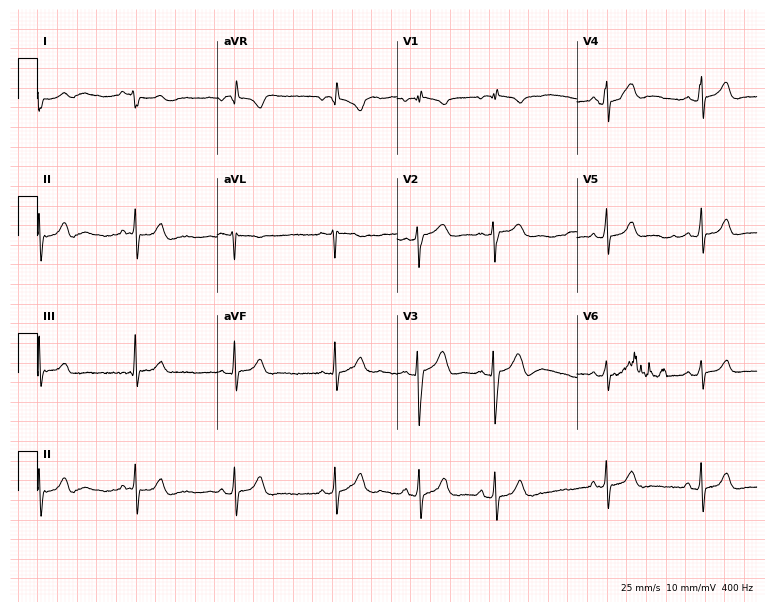
ECG — a 17-year-old female patient. Screened for six findings — first-degree AV block, right bundle branch block, left bundle branch block, sinus bradycardia, atrial fibrillation, sinus tachycardia — none is recorded.